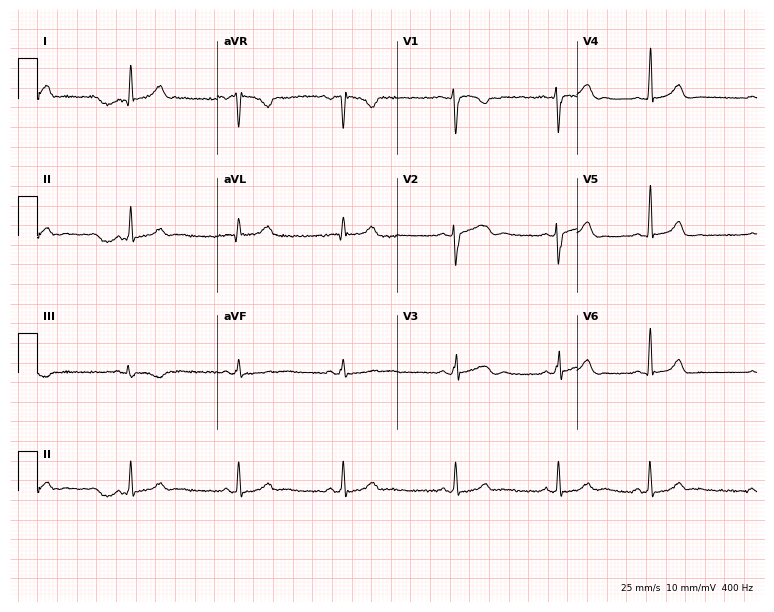
Resting 12-lead electrocardiogram (7.3-second recording at 400 Hz). Patient: a 35-year-old female. Read as a normal ECG.